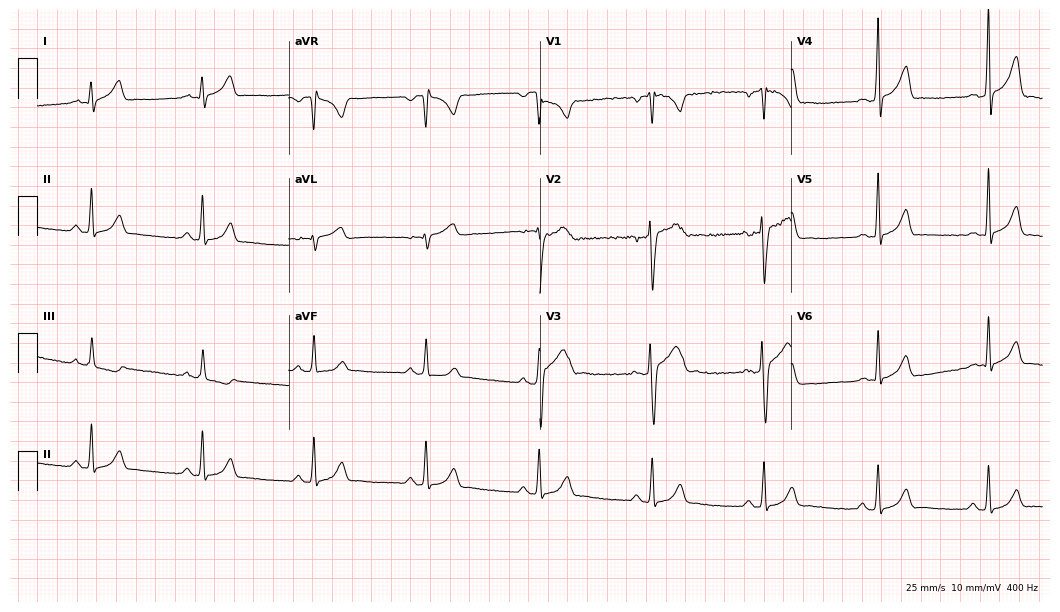
Resting 12-lead electrocardiogram. Patient: a 25-year-old man. None of these six findings is recorded: first-degree AV block, right bundle branch block (RBBB), left bundle branch block (LBBB), sinus bradycardia, atrial fibrillation (AF), sinus tachycardia. Findings outside these six are not listed.